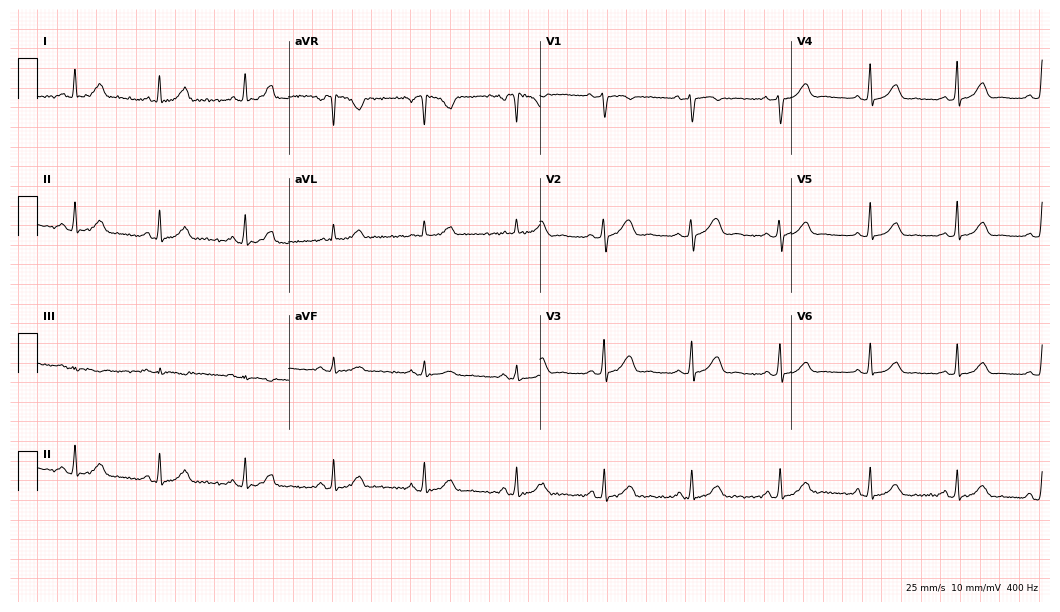
Electrocardiogram (10.2-second recording at 400 Hz), a 44-year-old female patient. Of the six screened findings (first-degree AV block, right bundle branch block (RBBB), left bundle branch block (LBBB), sinus bradycardia, atrial fibrillation (AF), sinus tachycardia), none is recorded.